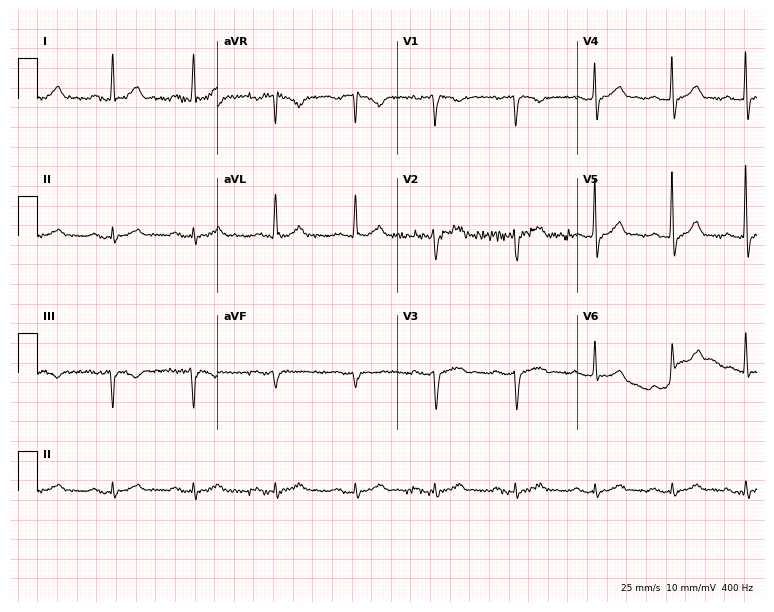
ECG — a man, 61 years old. Findings include first-degree AV block.